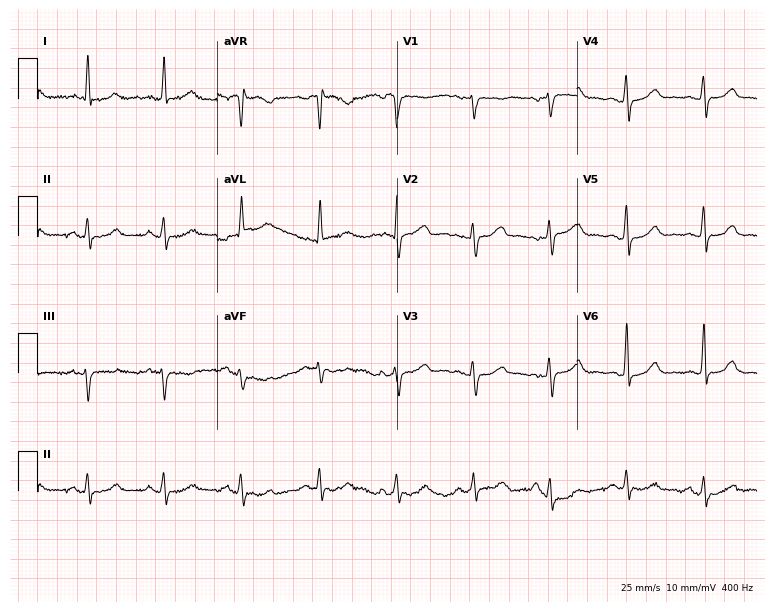
12-lead ECG from a female patient, 67 years old. Recorded interpretation: within normal limits.